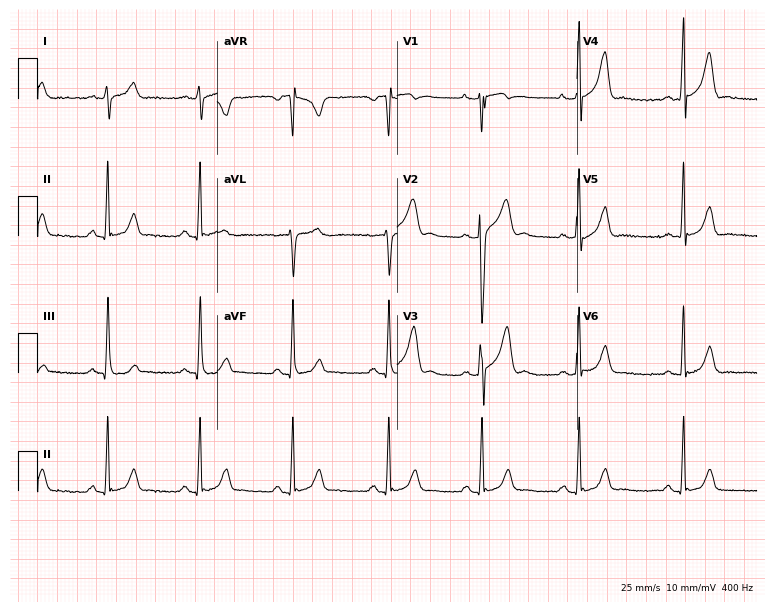
Resting 12-lead electrocardiogram (7.3-second recording at 400 Hz). Patient: a male, 24 years old. Read as a normal ECG.